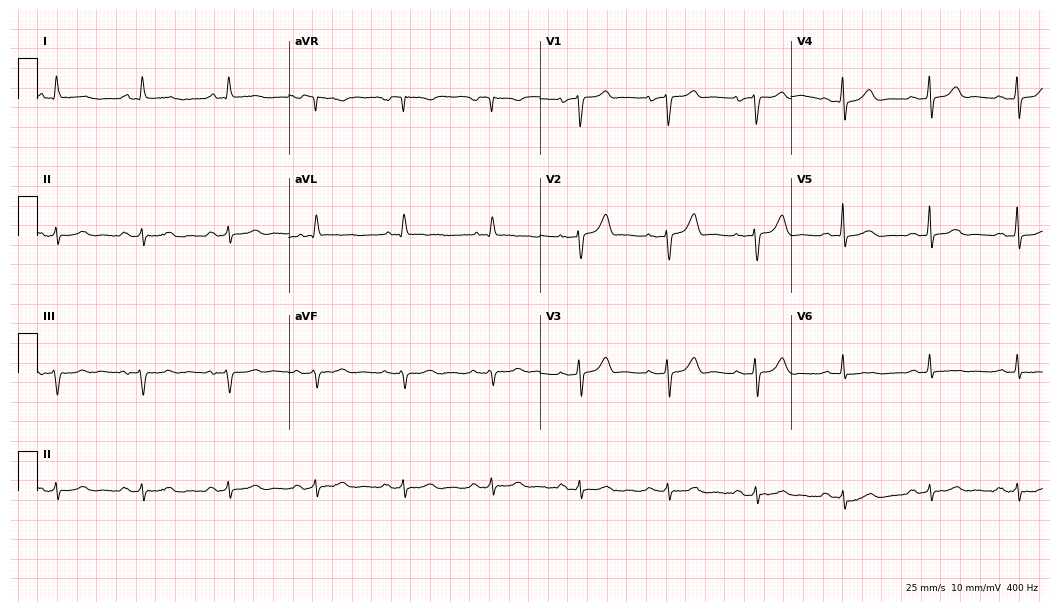
ECG — a 73-year-old man. Screened for six findings — first-degree AV block, right bundle branch block, left bundle branch block, sinus bradycardia, atrial fibrillation, sinus tachycardia — none is recorded.